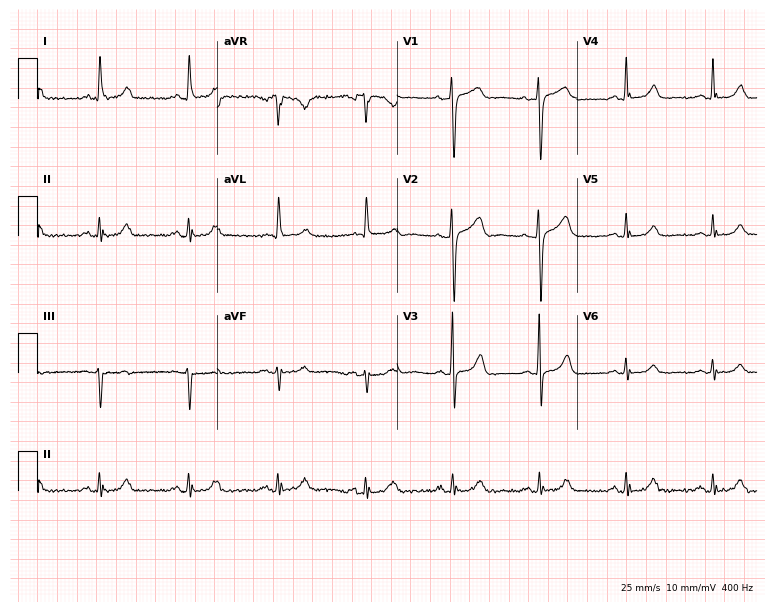
Electrocardiogram (7.3-second recording at 400 Hz), a 78-year-old woman. Of the six screened findings (first-degree AV block, right bundle branch block, left bundle branch block, sinus bradycardia, atrial fibrillation, sinus tachycardia), none is recorded.